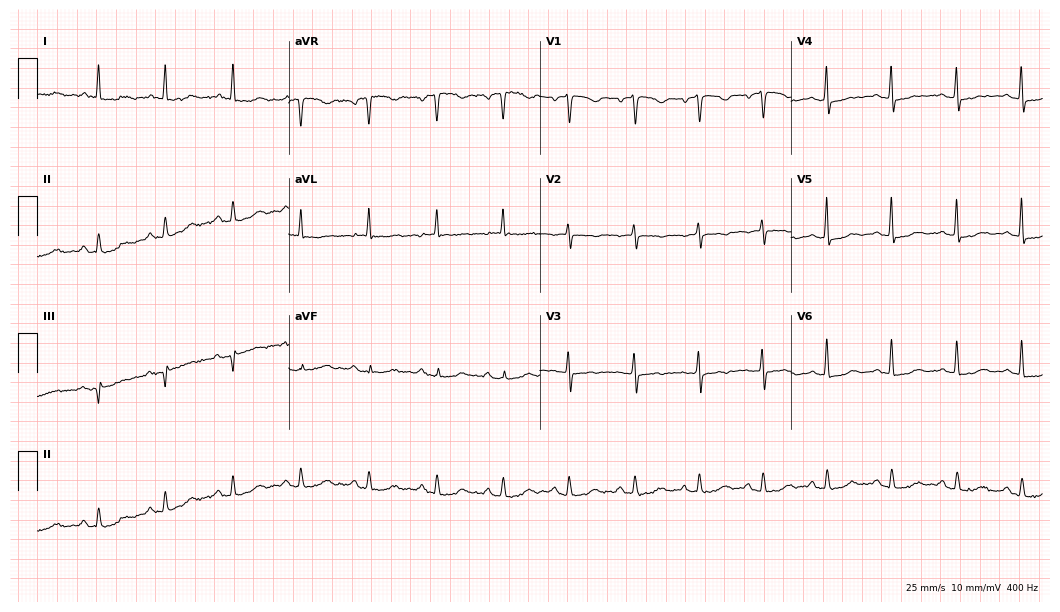
Electrocardiogram, an 80-year-old woman. Overall reading on record: normal ECG.